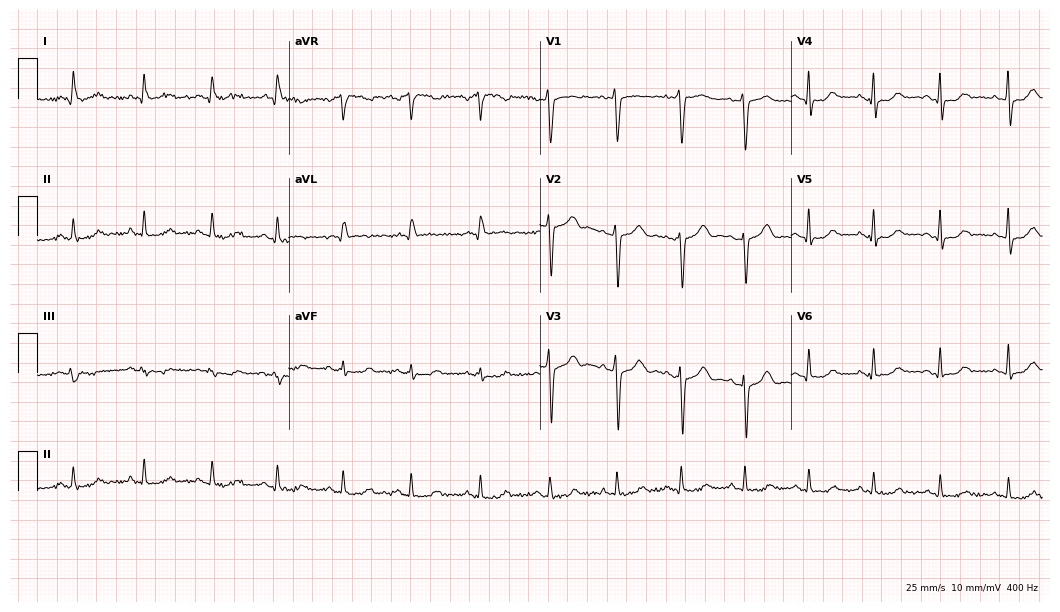
Standard 12-lead ECG recorded from a woman, 54 years old. None of these six findings is recorded: first-degree AV block, right bundle branch block, left bundle branch block, sinus bradycardia, atrial fibrillation, sinus tachycardia.